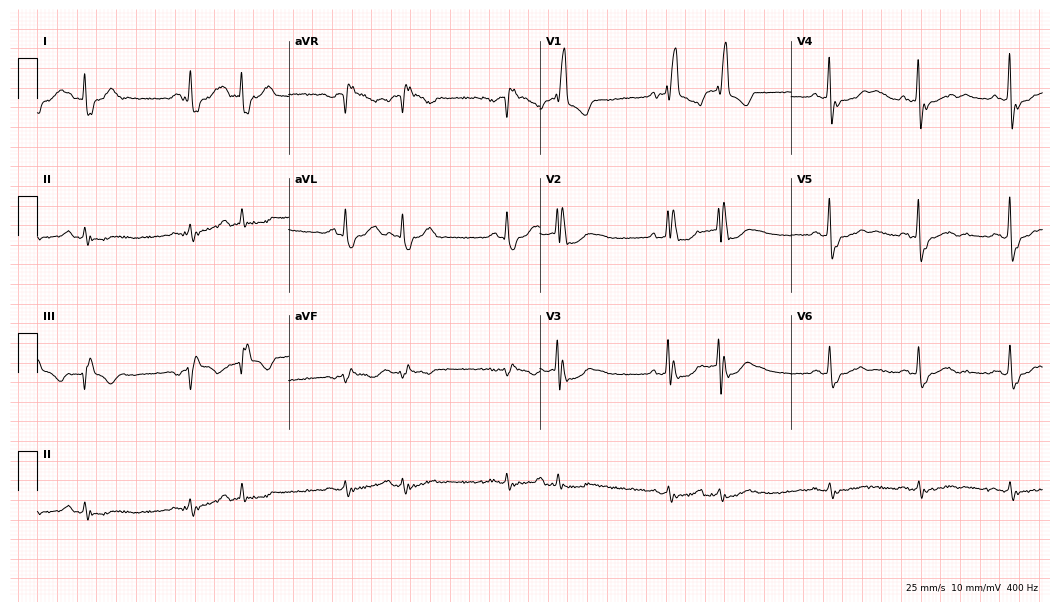
12-lead ECG from a man, 81 years old. Shows right bundle branch block.